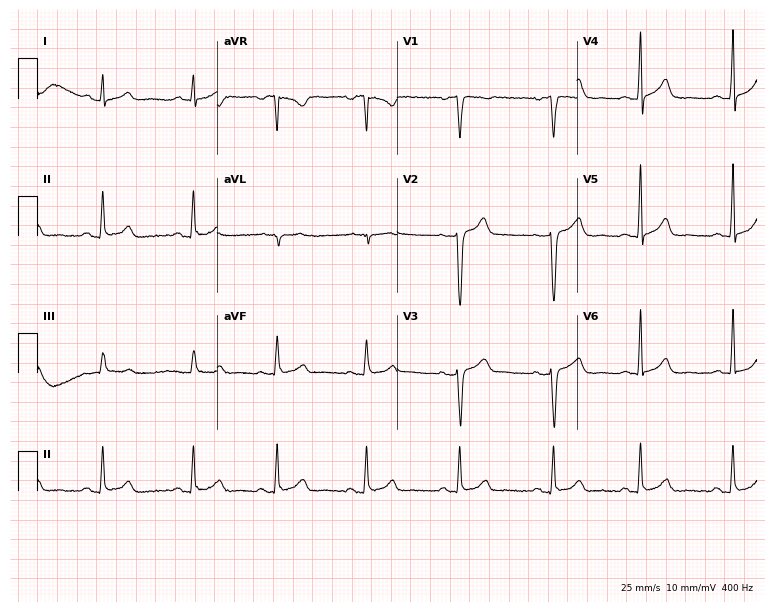
12-lead ECG from a male patient, 40 years old (7.3-second recording at 400 Hz). Recorded interpretation: within normal limits.